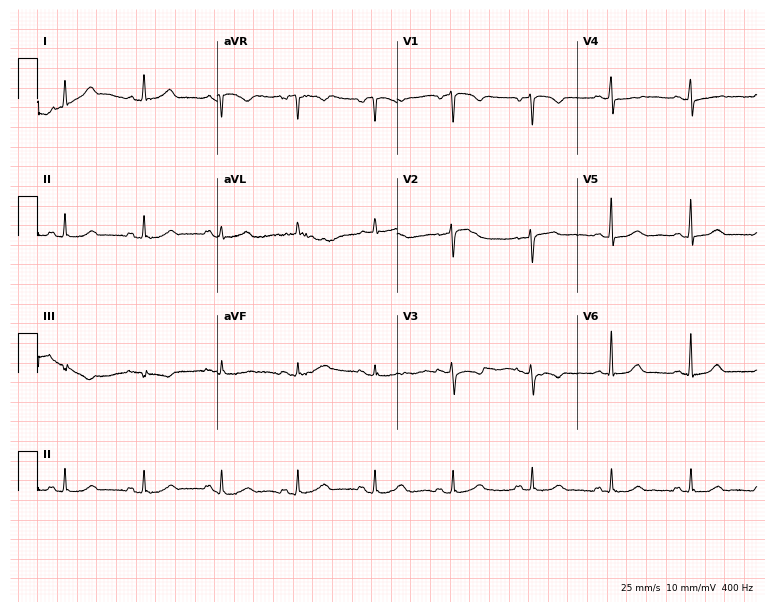
12-lead ECG (7.3-second recording at 400 Hz) from a female, 57 years old. Screened for six findings — first-degree AV block, right bundle branch block, left bundle branch block, sinus bradycardia, atrial fibrillation, sinus tachycardia — none is recorded.